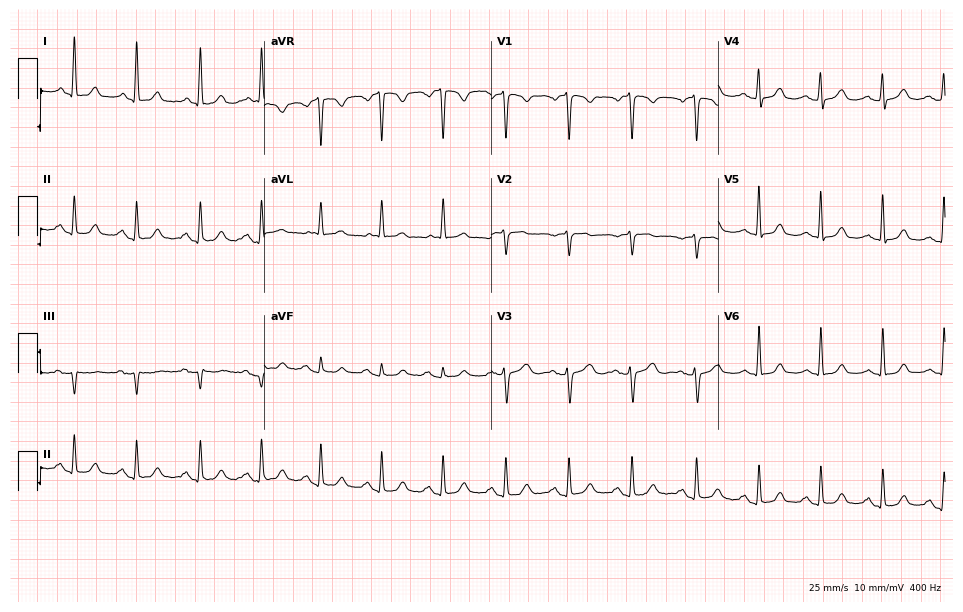
Resting 12-lead electrocardiogram (9.3-second recording at 400 Hz). Patient: a 47-year-old woman. Read as a normal ECG.